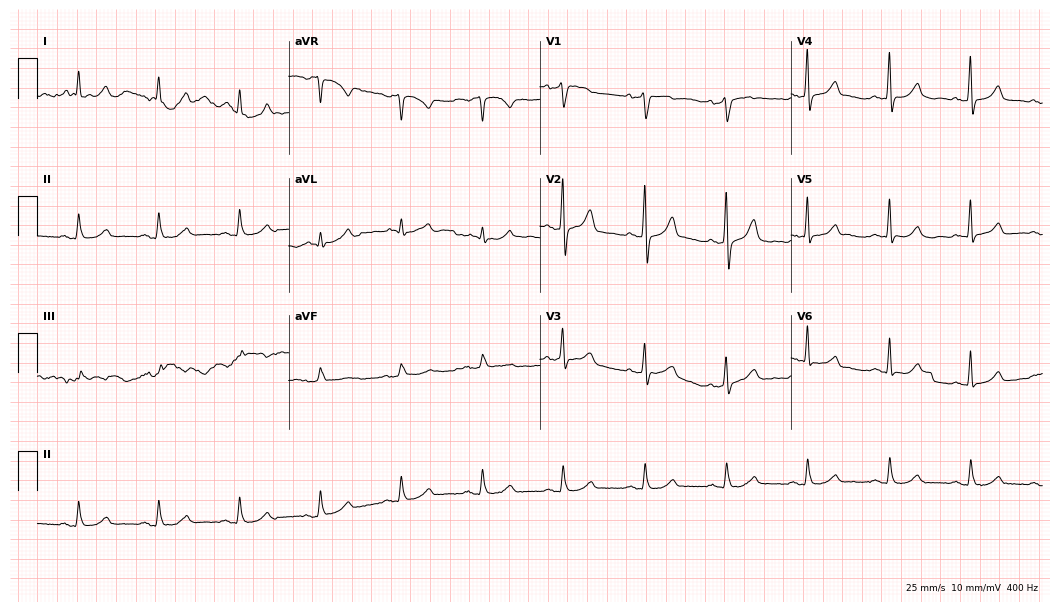
ECG — a 60-year-old male. Labelled as a normal ECG.